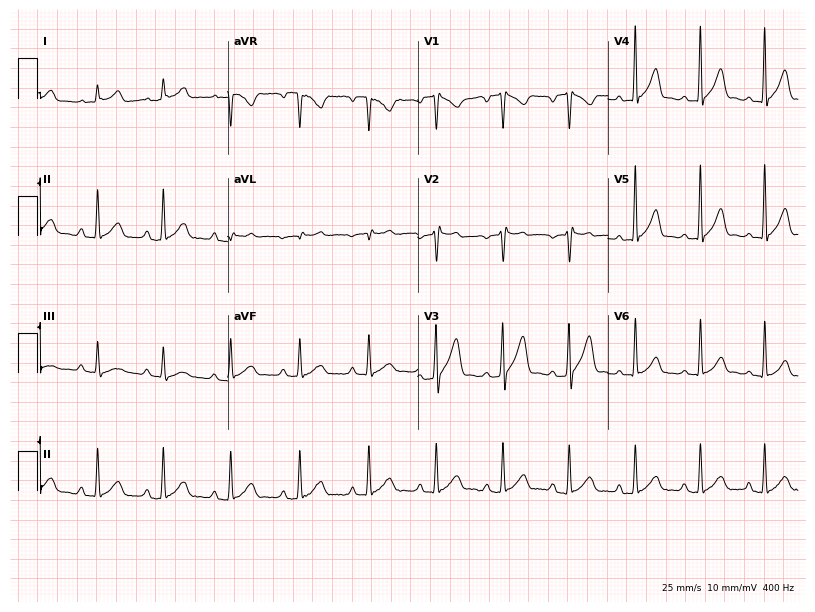
ECG — a 36-year-old male patient. Screened for six findings — first-degree AV block, right bundle branch block, left bundle branch block, sinus bradycardia, atrial fibrillation, sinus tachycardia — none is recorded.